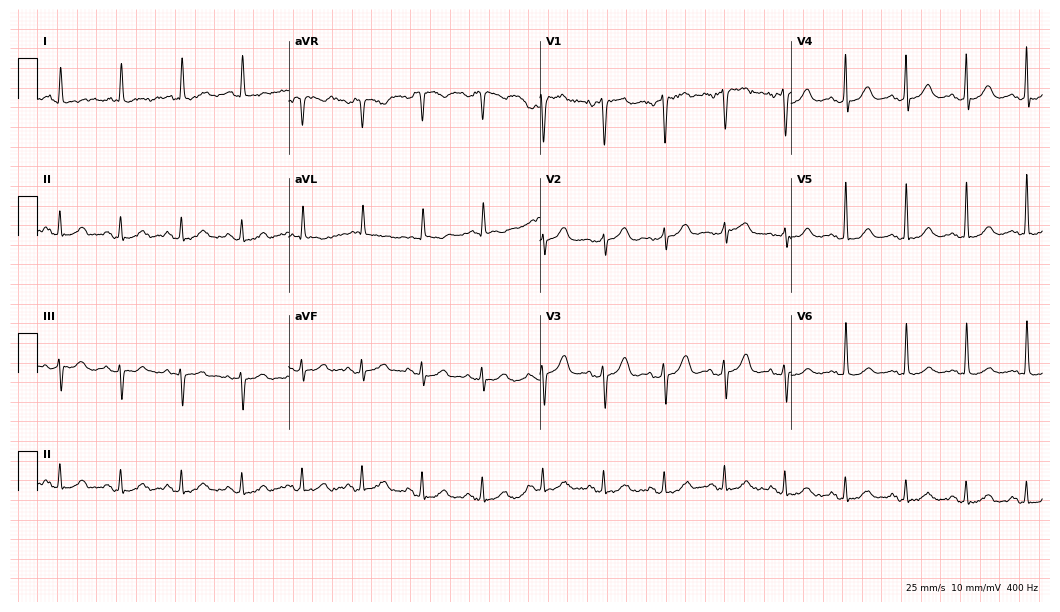
ECG (10.2-second recording at 400 Hz) — an 82-year-old male patient. Screened for six findings — first-degree AV block, right bundle branch block (RBBB), left bundle branch block (LBBB), sinus bradycardia, atrial fibrillation (AF), sinus tachycardia — none is recorded.